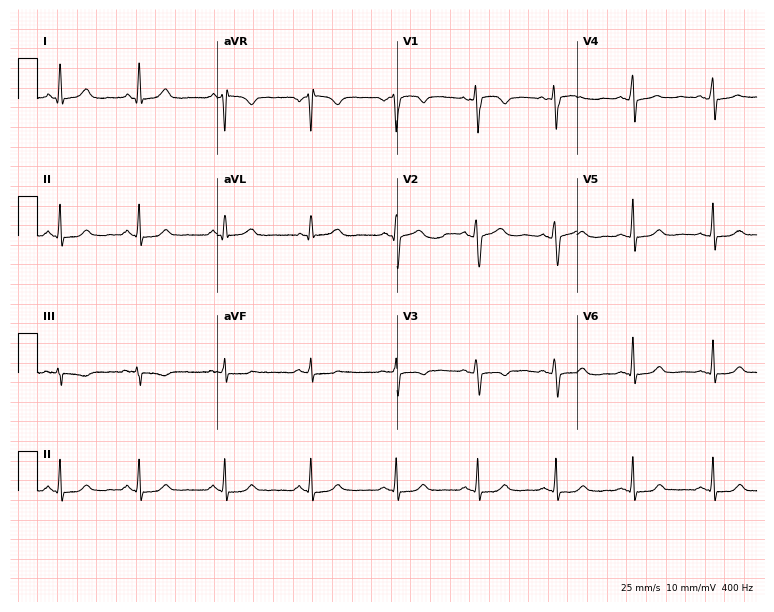
Standard 12-lead ECG recorded from a female, 29 years old. Read as a normal ECG.